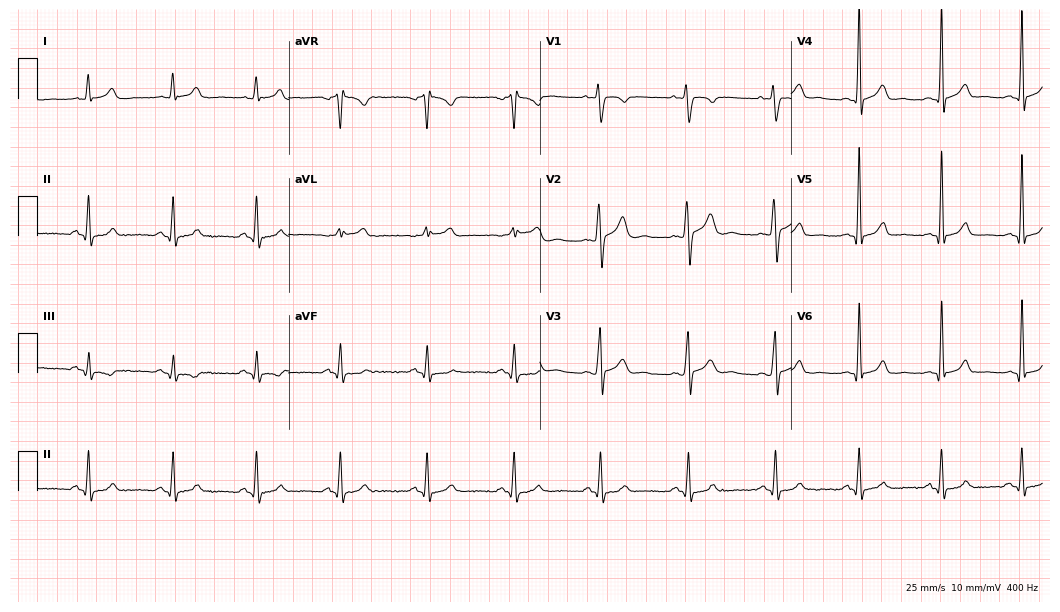
12-lead ECG from a 28-year-old male patient (10.2-second recording at 400 Hz). Recorded interpretation: within normal limits.